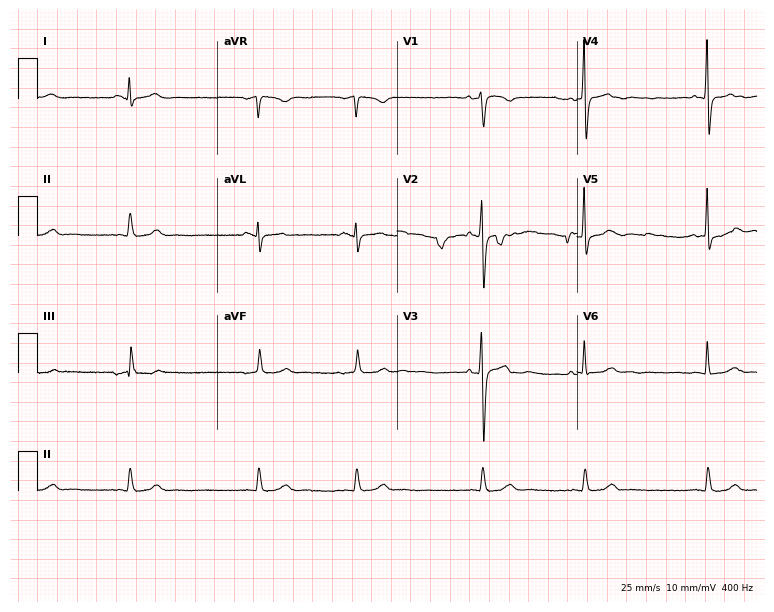
ECG (7.3-second recording at 400 Hz) — a female, 24 years old. Screened for six findings — first-degree AV block, right bundle branch block, left bundle branch block, sinus bradycardia, atrial fibrillation, sinus tachycardia — none is recorded. Only these six findings were labelled.